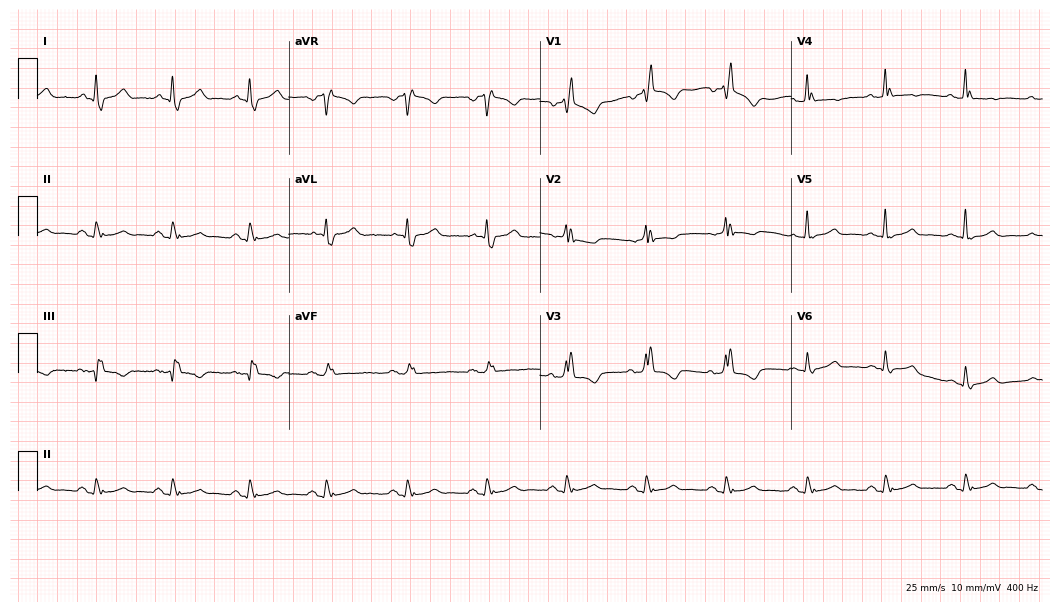
ECG — a man, 72 years old. Findings include right bundle branch block (RBBB).